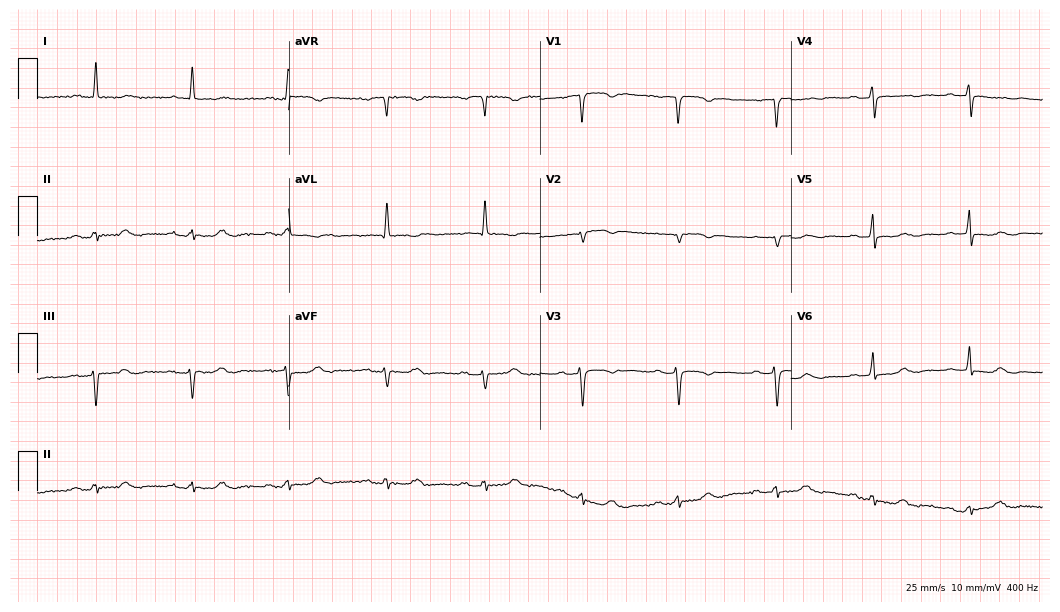
Resting 12-lead electrocardiogram. Patient: a 74-year-old female. None of these six findings is recorded: first-degree AV block, right bundle branch block (RBBB), left bundle branch block (LBBB), sinus bradycardia, atrial fibrillation (AF), sinus tachycardia. Other findings, if any, are not listed.